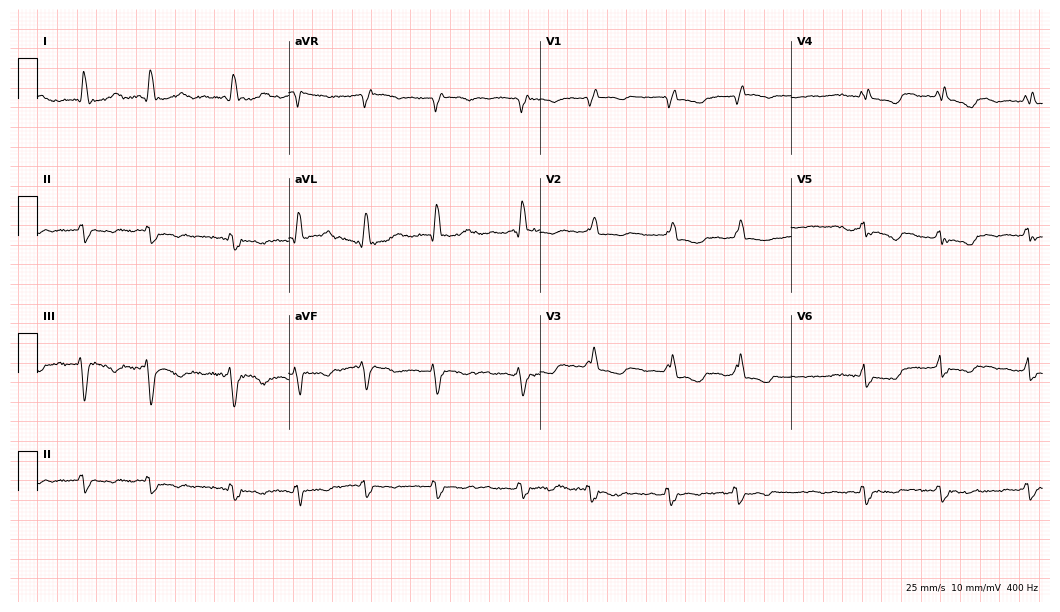
Electrocardiogram, an 83-year-old female. Interpretation includes right bundle branch block (RBBB), atrial fibrillation (AF).